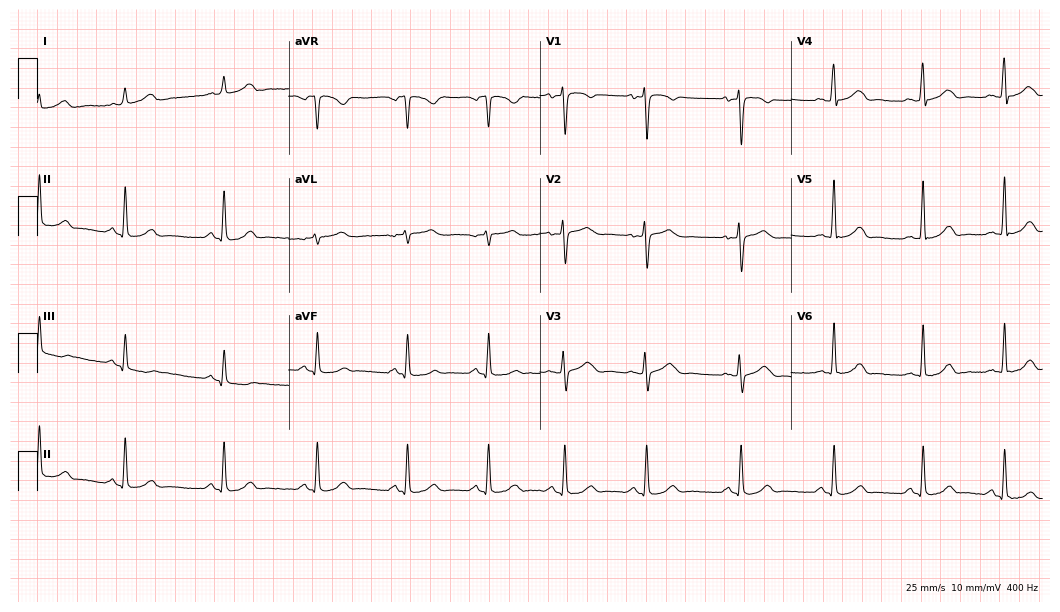
12-lead ECG (10.2-second recording at 400 Hz) from a 30-year-old female patient. Screened for six findings — first-degree AV block, right bundle branch block, left bundle branch block, sinus bradycardia, atrial fibrillation, sinus tachycardia — none is recorded. Other findings, if any, are not listed.